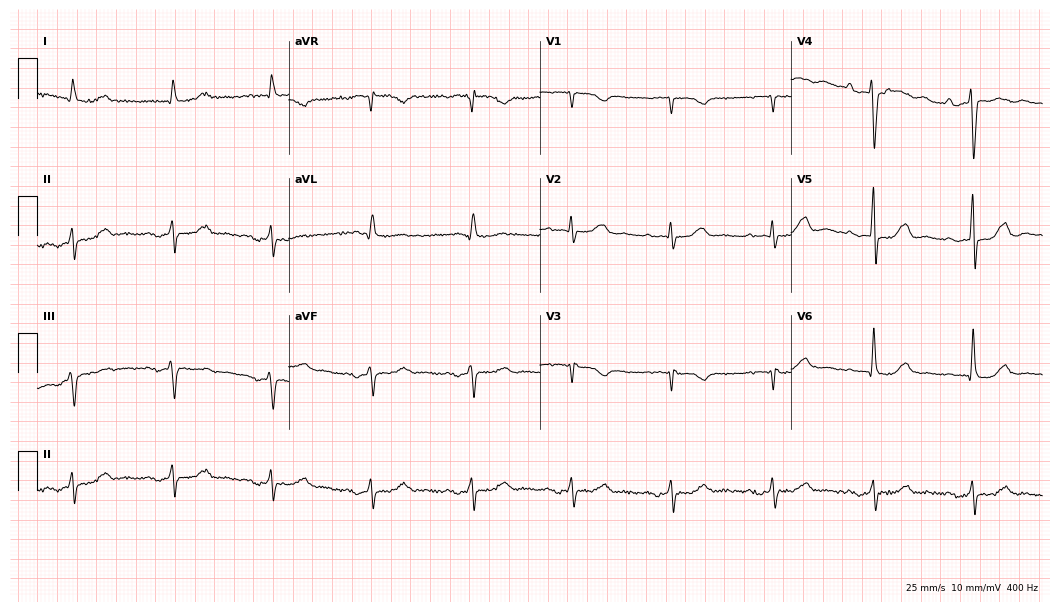
Electrocardiogram, a 73-year-old man. Overall reading on record: normal ECG.